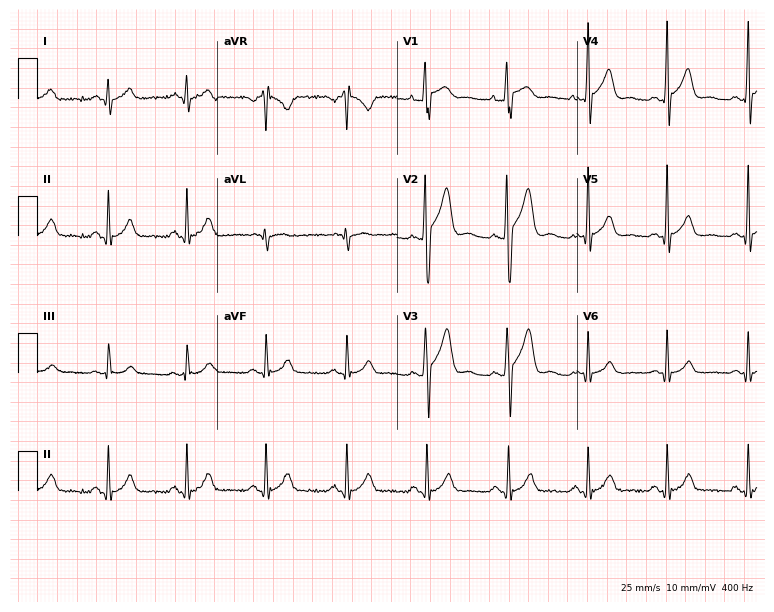
ECG (7.3-second recording at 400 Hz) — a 26-year-old man. Screened for six findings — first-degree AV block, right bundle branch block, left bundle branch block, sinus bradycardia, atrial fibrillation, sinus tachycardia — none is recorded. Findings outside these six are not listed.